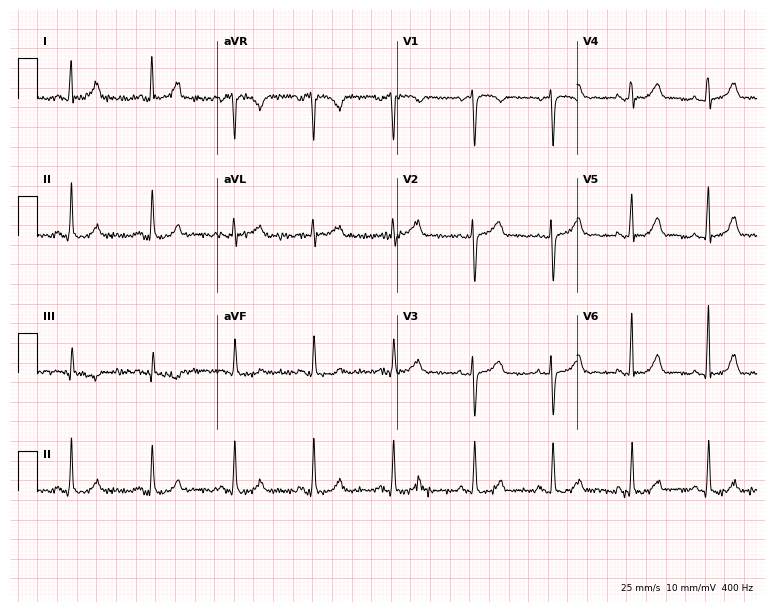
ECG (7.3-second recording at 400 Hz) — a 42-year-old woman. Labelled as a normal ECG.